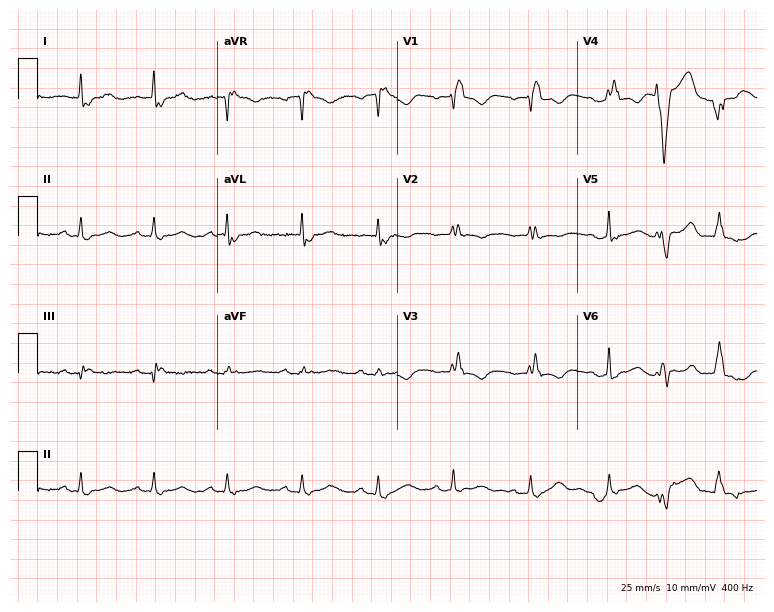
ECG — a female patient, 79 years old. Findings include right bundle branch block (RBBB).